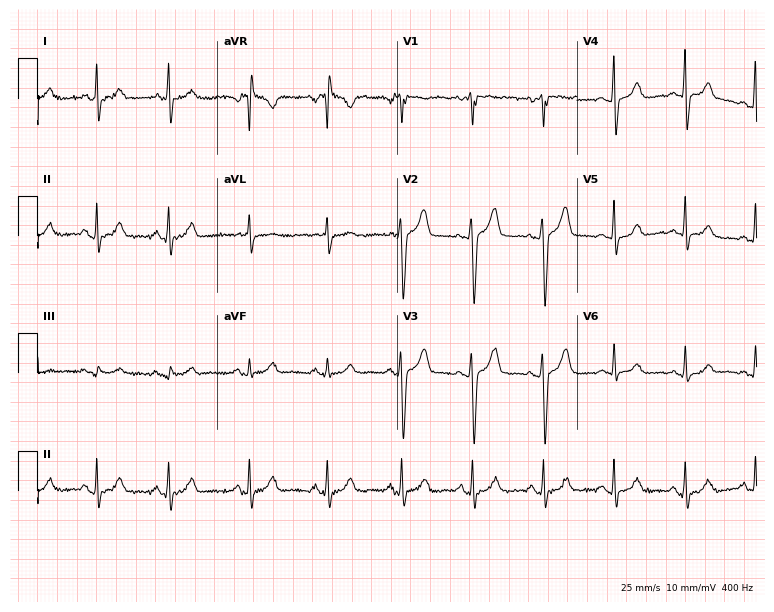
12-lead ECG from a 28-year-old woman (7.3-second recording at 400 Hz). Recorded interpretation: within normal limits.